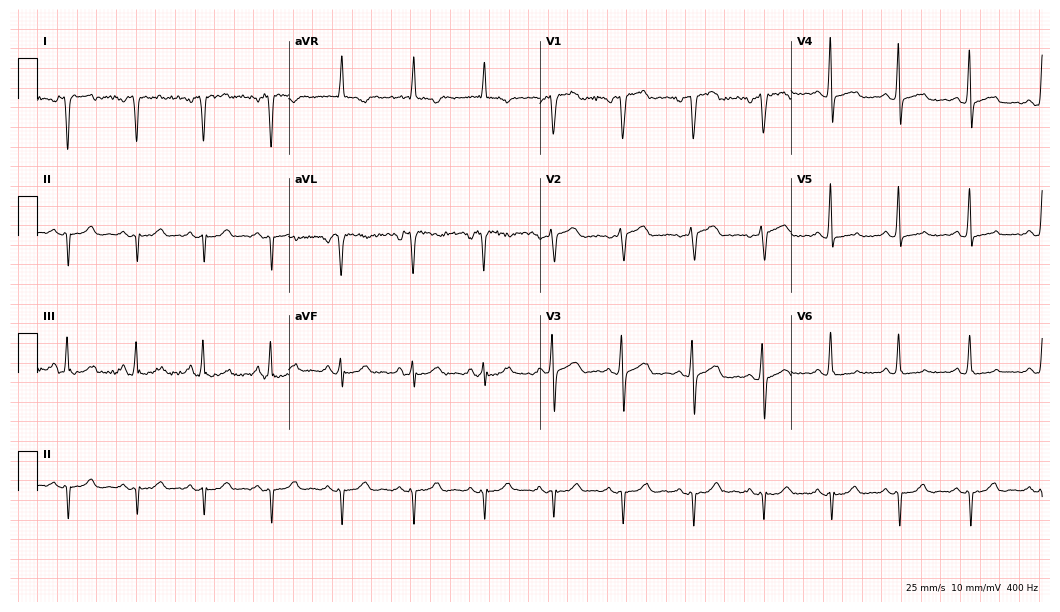
Resting 12-lead electrocardiogram. Patient: a 54-year-old female. None of these six findings is recorded: first-degree AV block, right bundle branch block (RBBB), left bundle branch block (LBBB), sinus bradycardia, atrial fibrillation (AF), sinus tachycardia. Other findings, if any, are not listed.